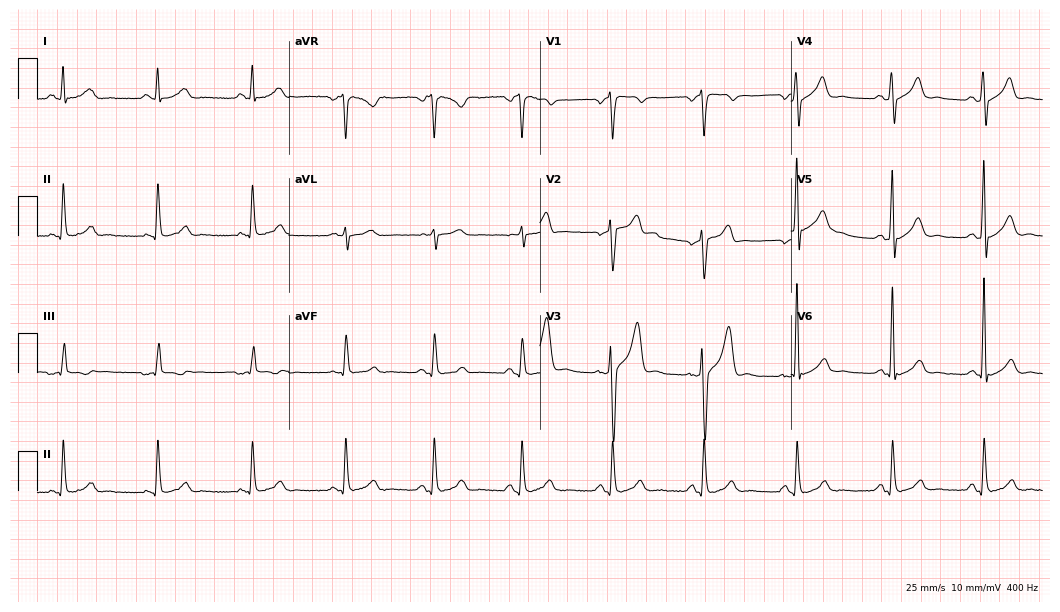
Resting 12-lead electrocardiogram (10.2-second recording at 400 Hz). Patient: a 33-year-old male. Read as a normal ECG.